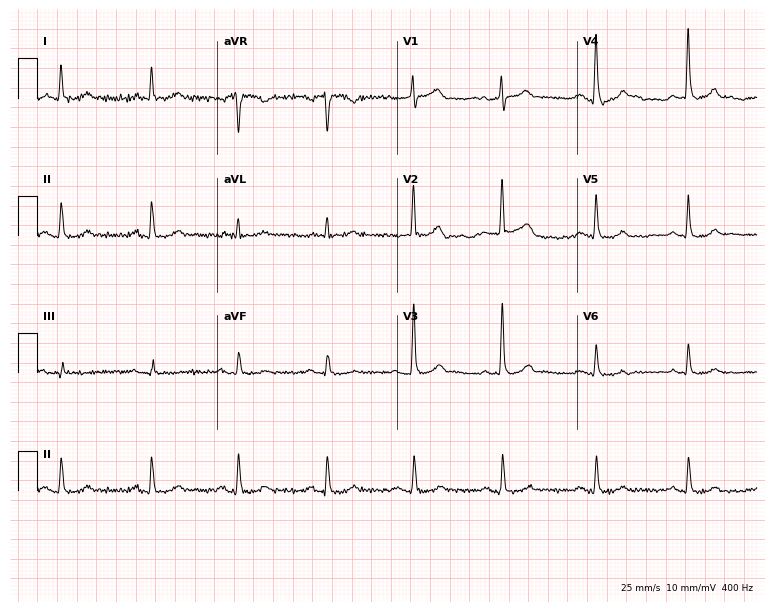
ECG (7.3-second recording at 400 Hz) — a man, 84 years old. Screened for six findings — first-degree AV block, right bundle branch block, left bundle branch block, sinus bradycardia, atrial fibrillation, sinus tachycardia — none is recorded.